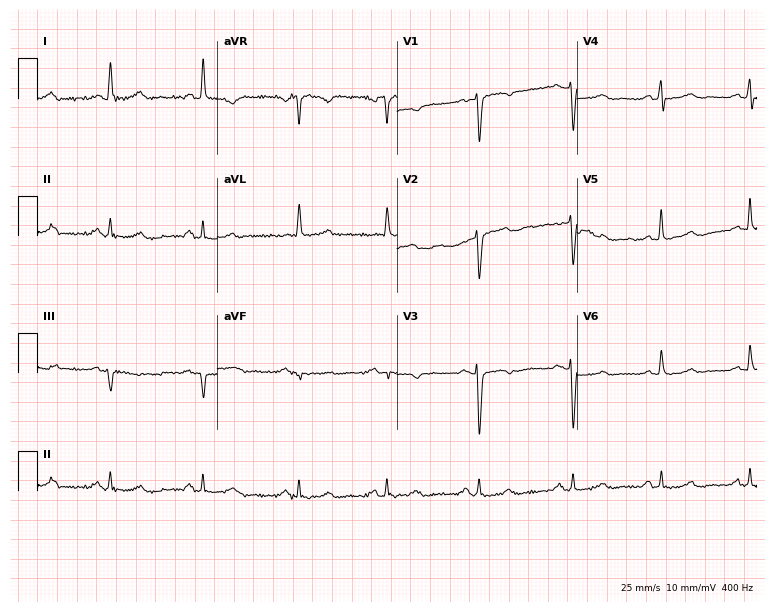
Standard 12-lead ECG recorded from a 58-year-old female. None of these six findings is recorded: first-degree AV block, right bundle branch block, left bundle branch block, sinus bradycardia, atrial fibrillation, sinus tachycardia. Other findings, if any, are not listed.